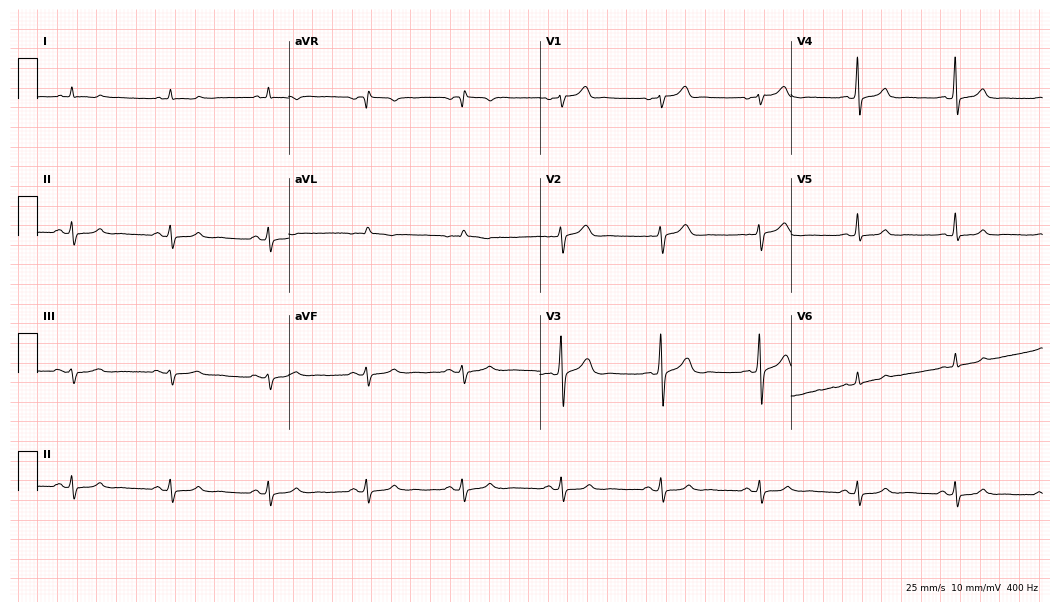
12-lead ECG from a 50-year-old male. Recorded interpretation: within normal limits.